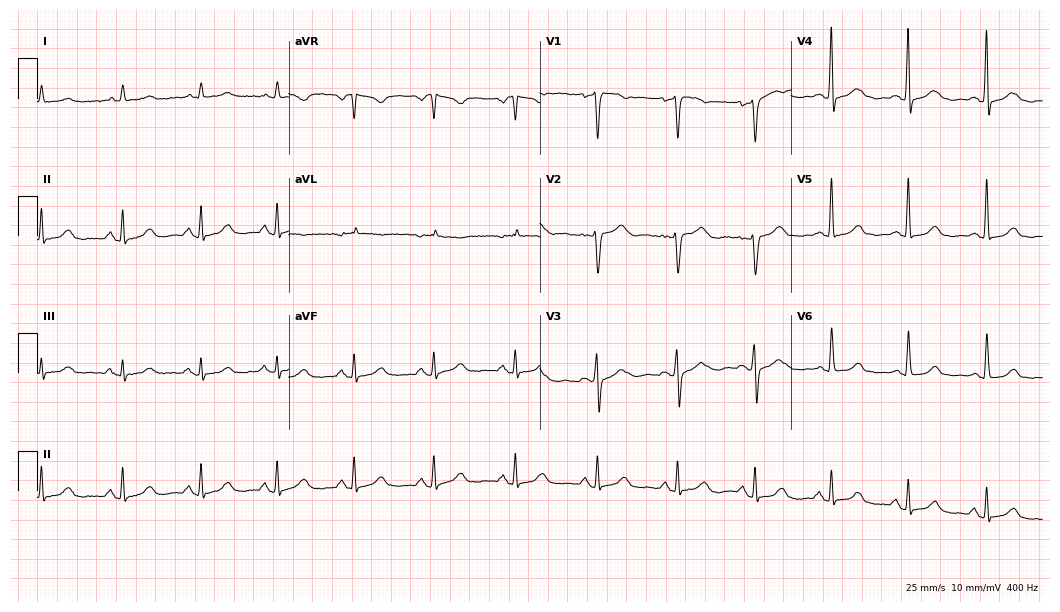
Resting 12-lead electrocardiogram (10.2-second recording at 400 Hz). Patient: a 58-year-old female. None of these six findings is recorded: first-degree AV block, right bundle branch block, left bundle branch block, sinus bradycardia, atrial fibrillation, sinus tachycardia. Only these six findings were labelled.